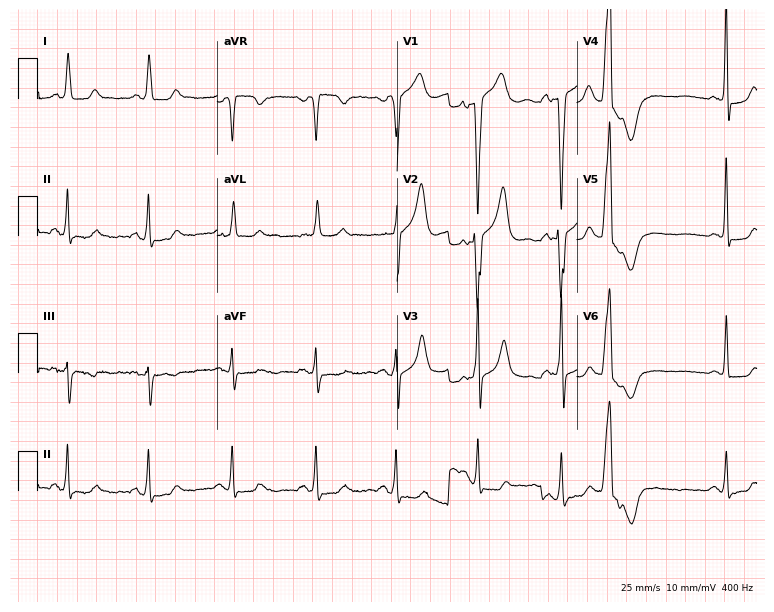
Electrocardiogram, a female, 88 years old. Of the six screened findings (first-degree AV block, right bundle branch block (RBBB), left bundle branch block (LBBB), sinus bradycardia, atrial fibrillation (AF), sinus tachycardia), none is recorded.